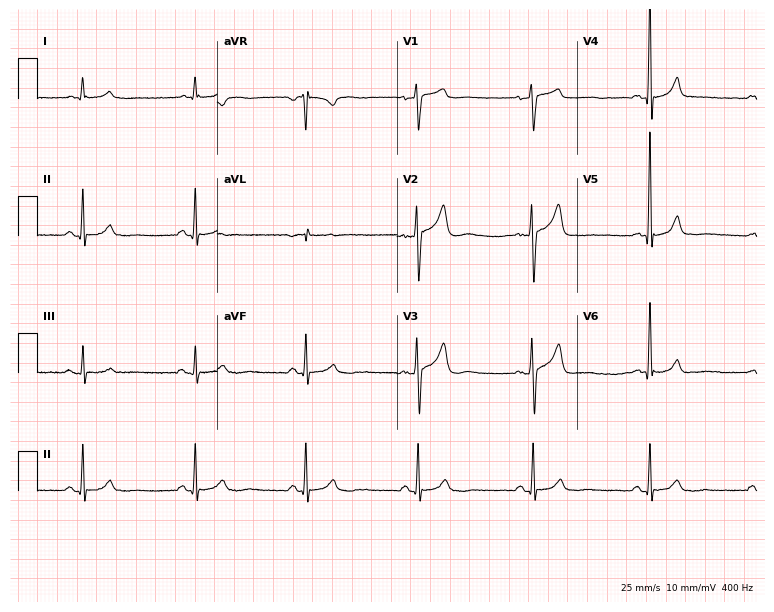
12-lead ECG from a 64-year-old man (7.3-second recording at 400 Hz). Recorded interpretation: within normal limits.